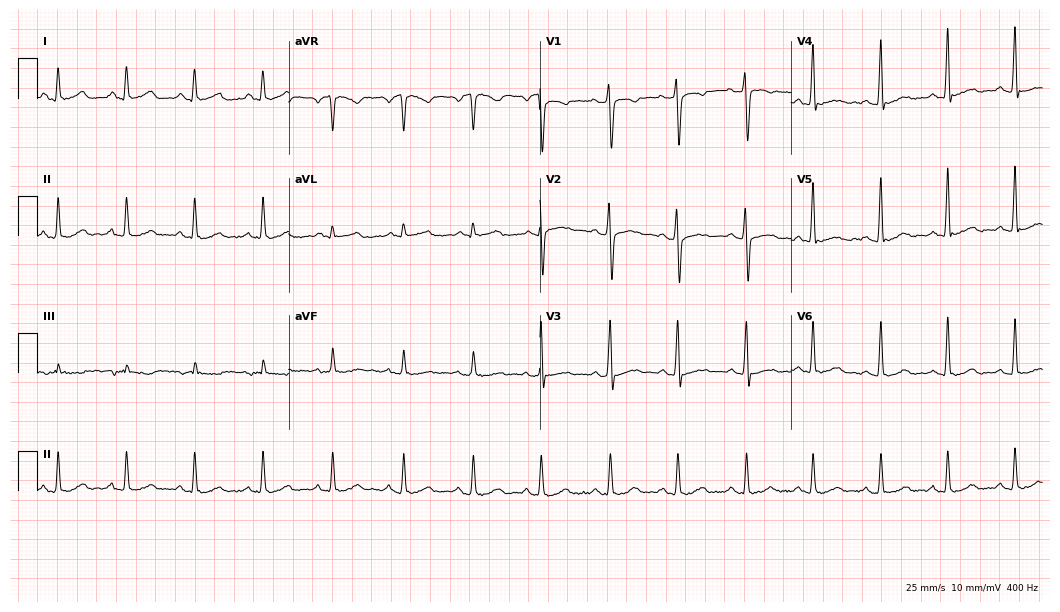
Standard 12-lead ECG recorded from a 52-year-old male patient. Read as a normal ECG.